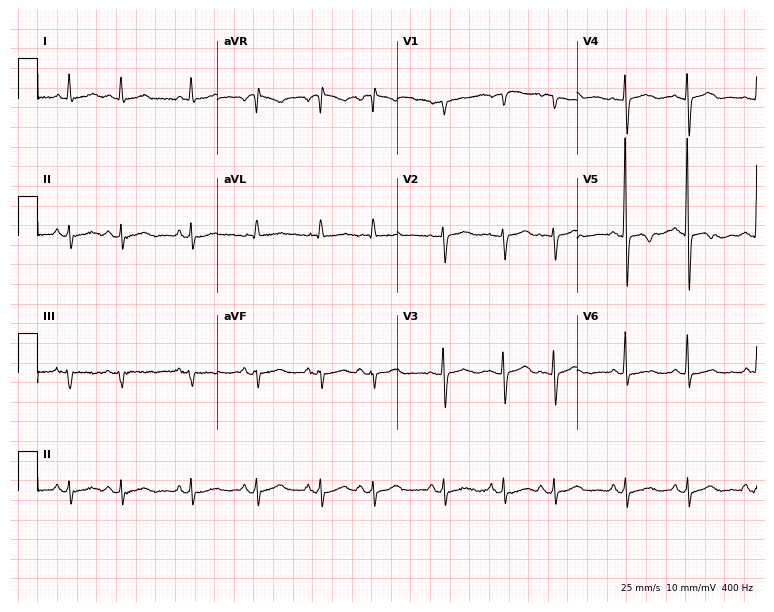
12-lead ECG from a woman, 75 years old (7.3-second recording at 400 Hz). No first-degree AV block, right bundle branch block (RBBB), left bundle branch block (LBBB), sinus bradycardia, atrial fibrillation (AF) or sinus tachycardia recorded for this tracing. Other findings, if any, are not listed.